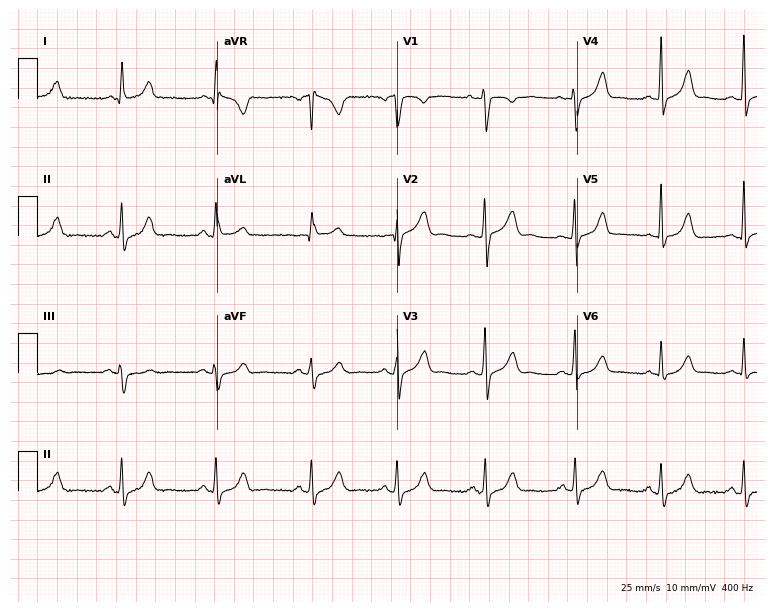
Electrocardiogram (7.3-second recording at 400 Hz), a 24-year-old woman. Overall reading on record: normal ECG.